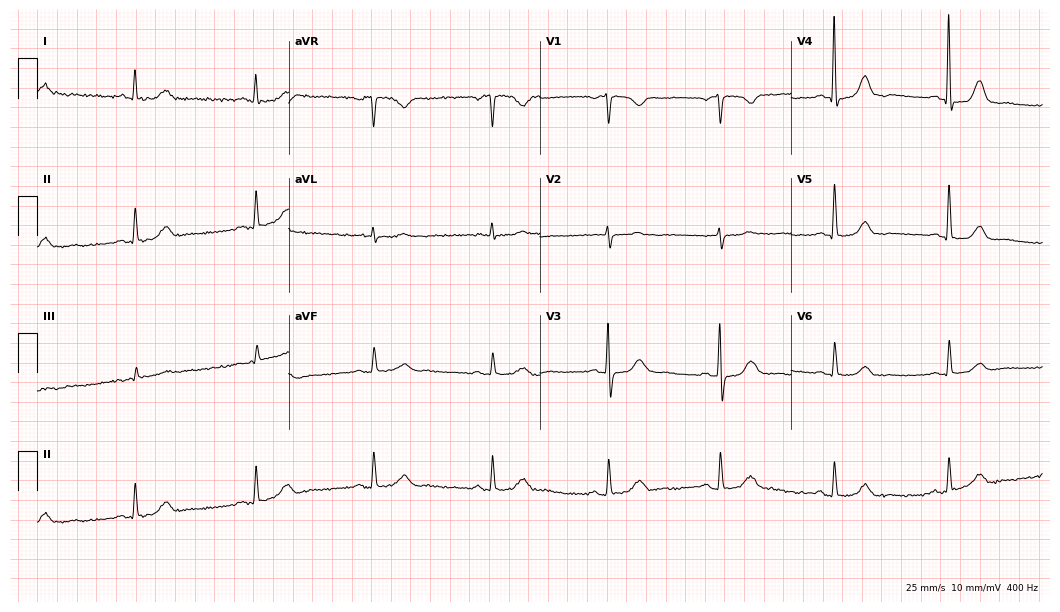
ECG — a female patient, 69 years old. Screened for six findings — first-degree AV block, right bundle branch block (RBBB), left bundle branch block (LBBB), sinus bradycardia, atrial fibrillation (AF), sinus tachycardia — none is recorded.